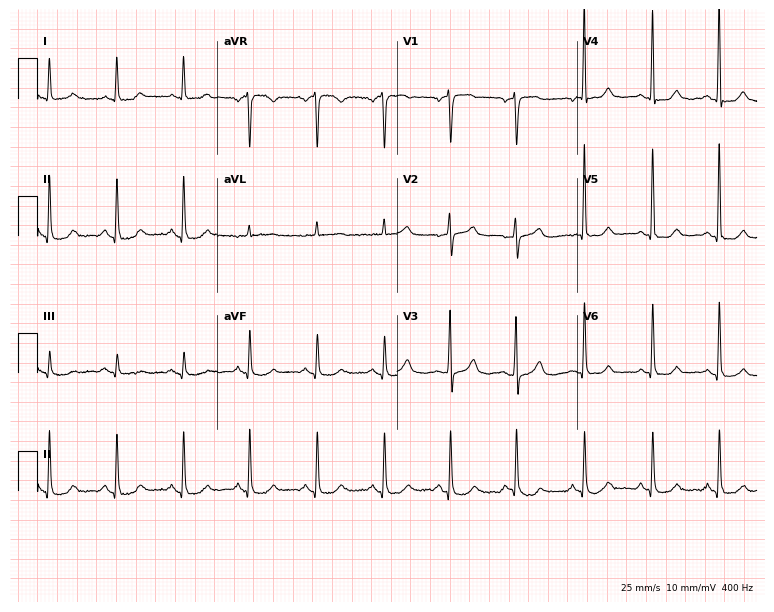
Resting 12-lead electrocardiogram. Patient: a 75-year-old female. None of these six findings is recorded: first-degree AV block, right bundle branch block (RBBB), left bundle branch block (LBBB), sinus bradycardia, atrial fibrillation (AF), sinus tachycardia. Only these six findings were labelled.